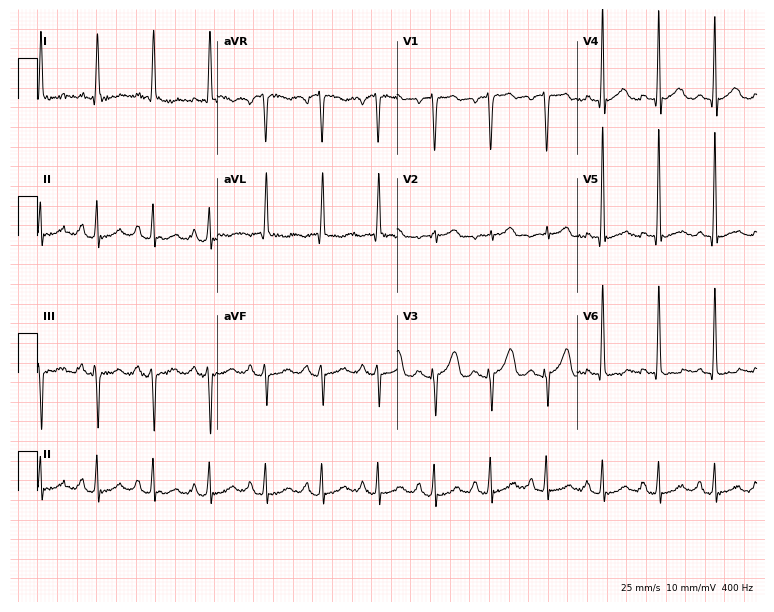
Standard 12-lead ECG recorded from a 76-year-old woman. The tracing shows sinus tachycardia (a sinus rate of 100 beats per minute or more).